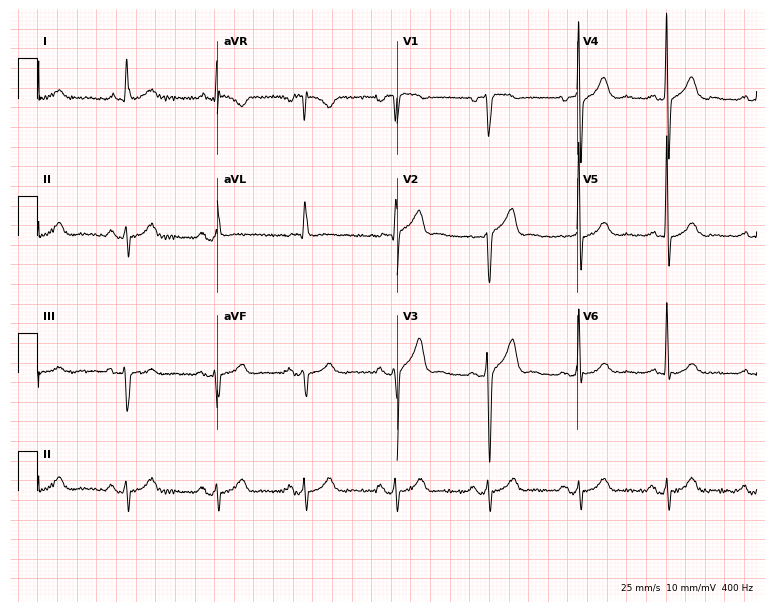
Standard 12-lead ECG recorded from a 76-year-old man (7.3-second recording at 400 Hz). None of these six findings is recorded: first-degree AV block, right bundle branch block, left bundle branch block, sinus bradycardia, atrial fibrillation, sinus tachycardia. Other findings, if any, are not listed.